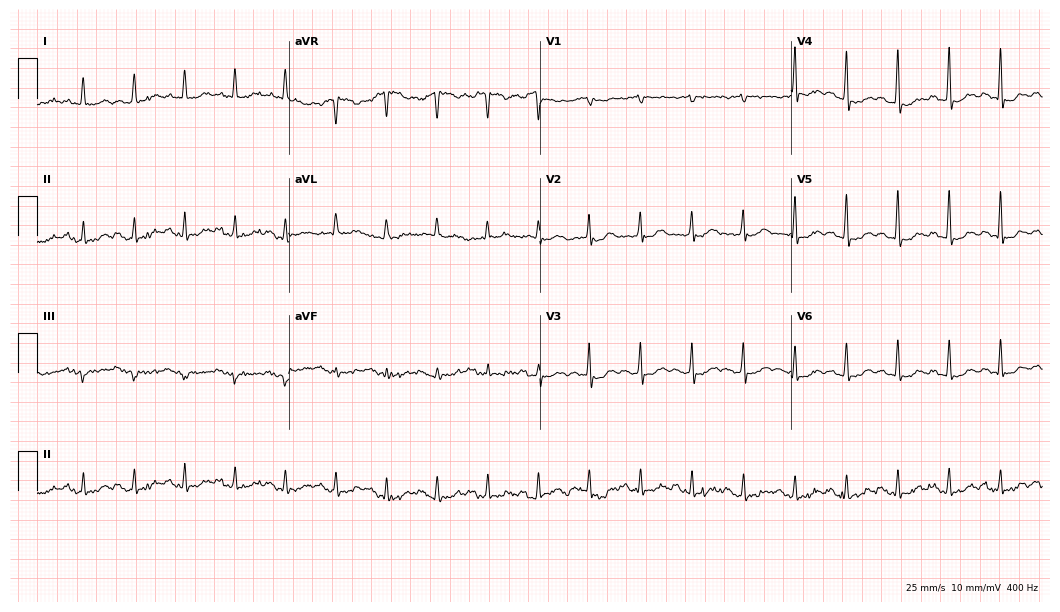
Standard 12-lead ECG recorded from a female patient, 79 years old. The tracing shows sinus tachycardia (a sinus rate of 100 beats per minute or more).